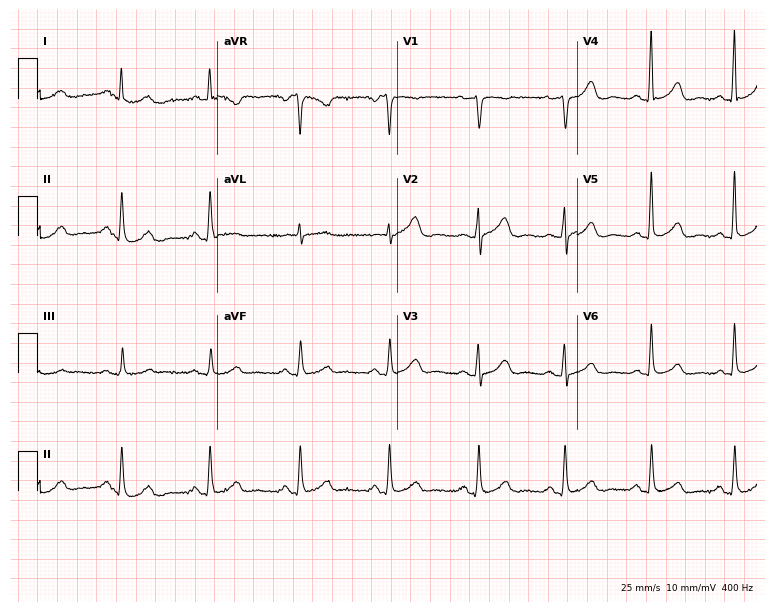
ECG (7.3-second recording at 400 Hz) — a 64-year-old female. Labelled as a normal ECG.